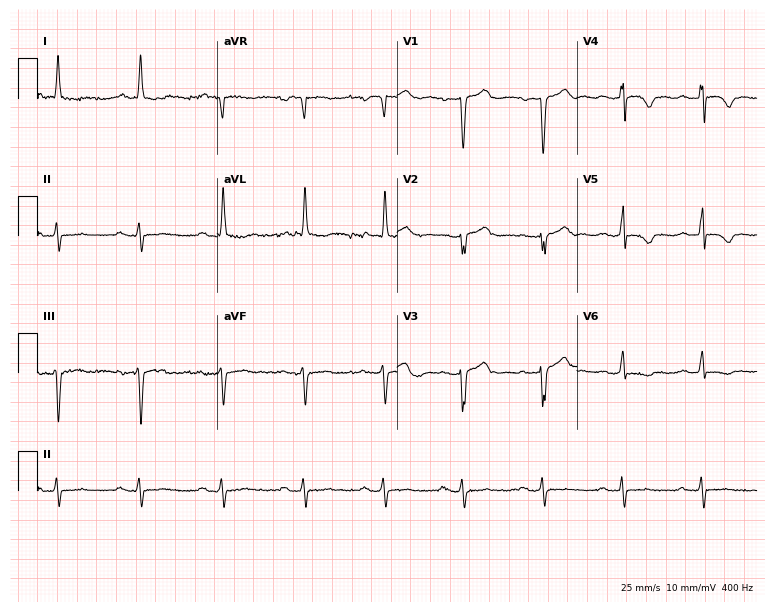
12-lead ECG from a 71-year-old female (7.3-second recording at 400 Hz). No first-degree AV block, right bundle branch block, left bundle branch block, sinus bradycardia, atrial fibrillation or sinus tachycardia recorded for this tracing. Only these six findings were labelled.